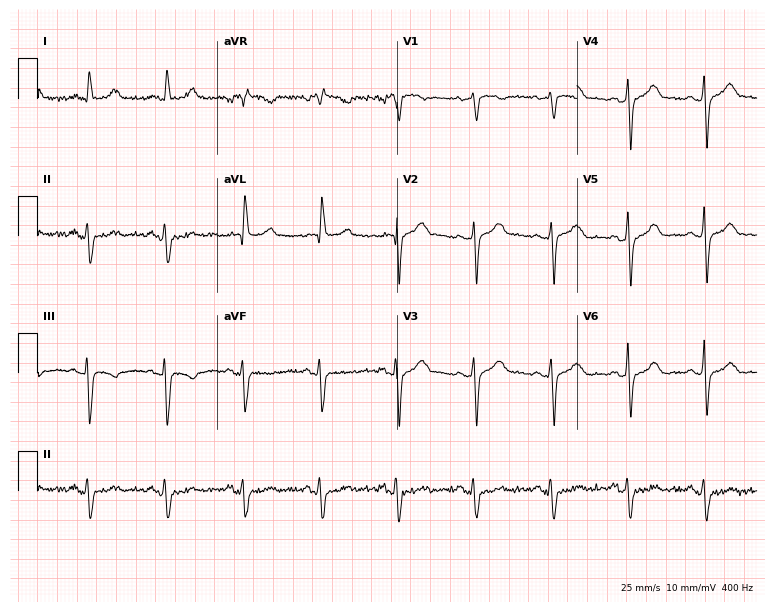
ECG — a male, 80 years old. Screened for six findings — first-degree AV block, right bundle branch block, left bundle branch block, sinus bradycardia, atrial fibrillation, sinus tachycardia — none is recorded.